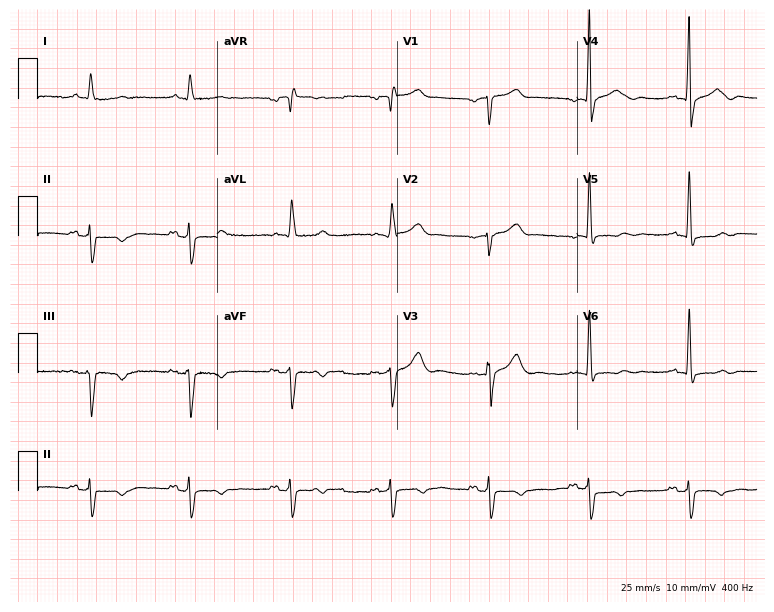
Resting 12-lead electrocardiogram. Patient: a man, 75 years old. None of these six findings is recorded: first-degree AV block, right bundle branch block, left bundle branch block, sinus bradycardia, atrial fibrillation, sinus tachycardia.